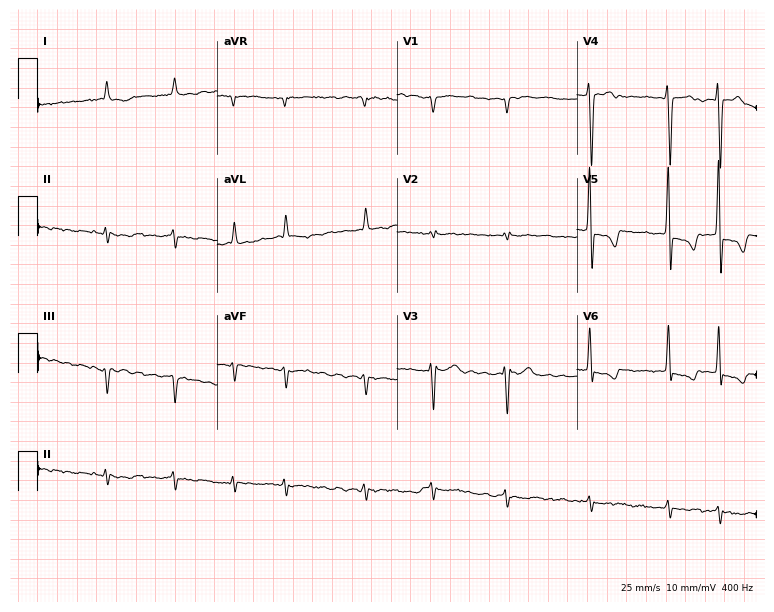
Electrocardiogram, a man, 76 years old. Interpretation includes atrial fibrillation.